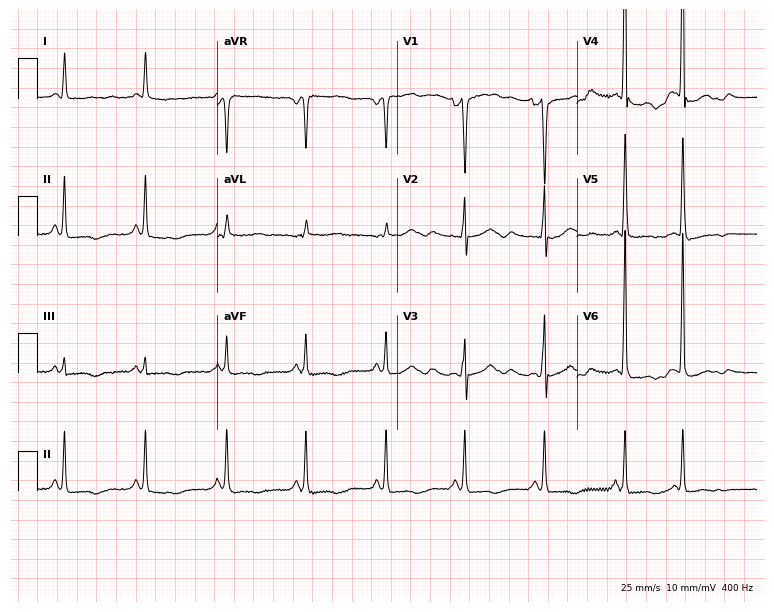
12-lead ECG from an 84-year-old female (7.3-second recording at 400 Hz). No first-degree AV block, right bundle branch block (RBBB), left bundle branch block (LBBB), sinus bradycardia, atrial fibrillation (AF) or sinus tachycardia recorded for this tracing. Only these six findings were labelled.